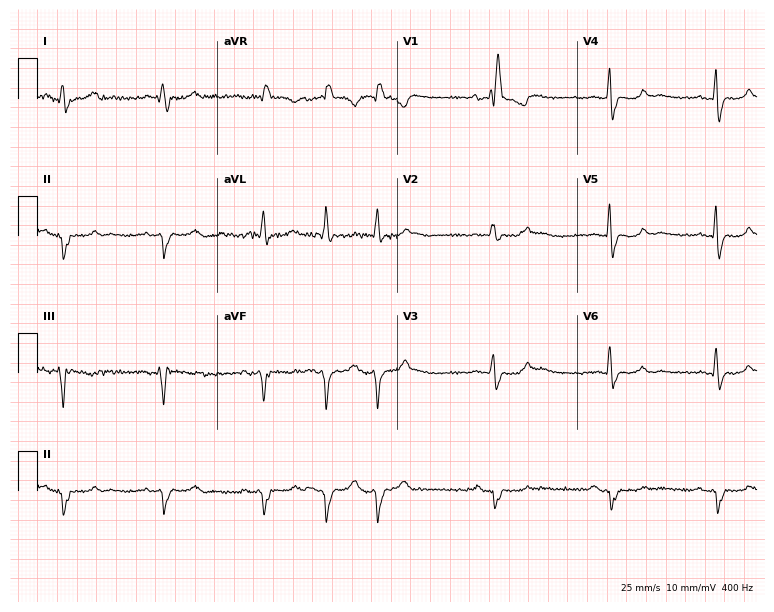
ECG (7.3-second recording at 400 Hz) — a man, 73 years old. Findings include right bundle branch block (RBBB).